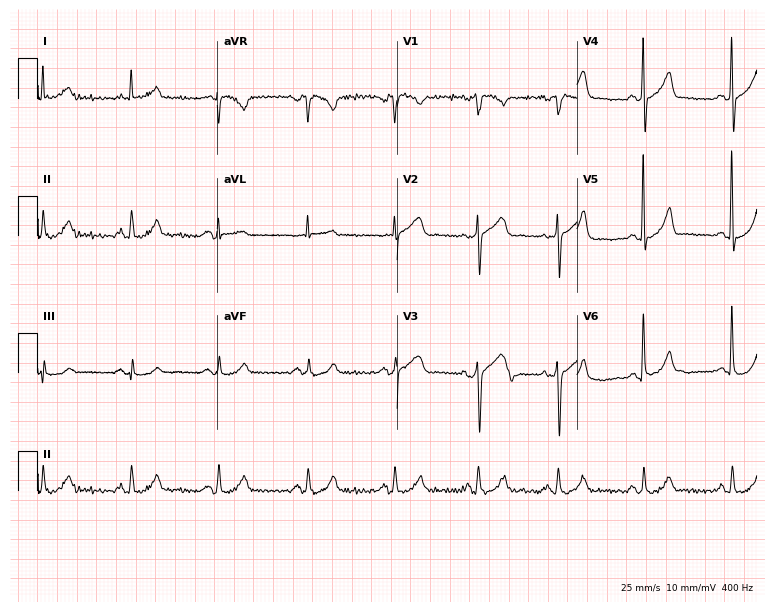
Resting 12-lead electrocardiogram (7.3-second recording at 400 Hz). Patient: a male, 68 years old. Read as a normal ECG.